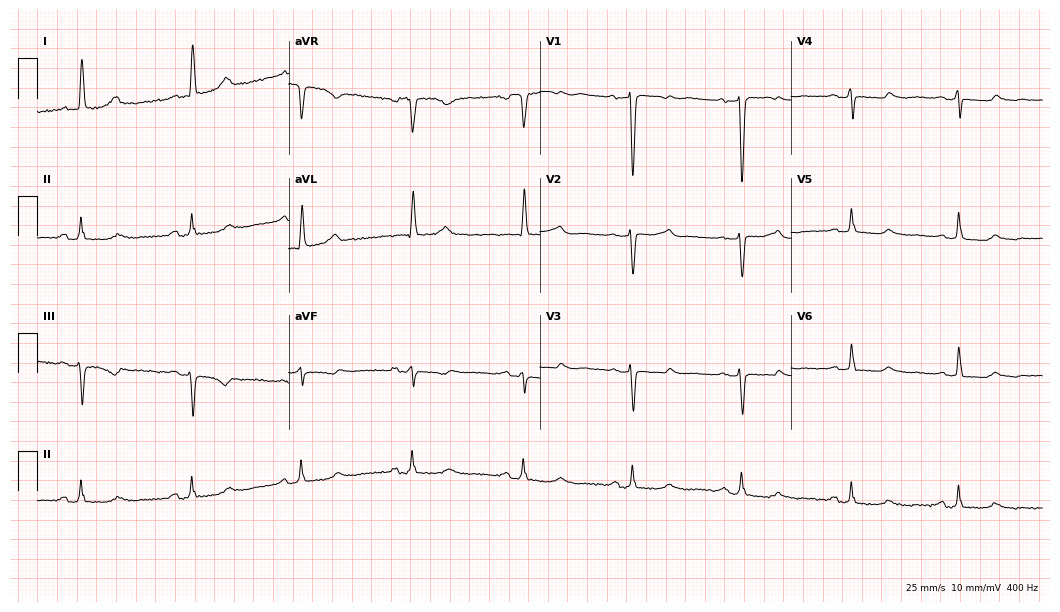
12-lead ECG from an 83-year-old female (10.2-second recording at 400 Hz). No first-degree AV block, right bundle branch block, left bundle branch block, sinus bradycardia, atrial fibrillation or sinus tachycardia recorded for this tracing.